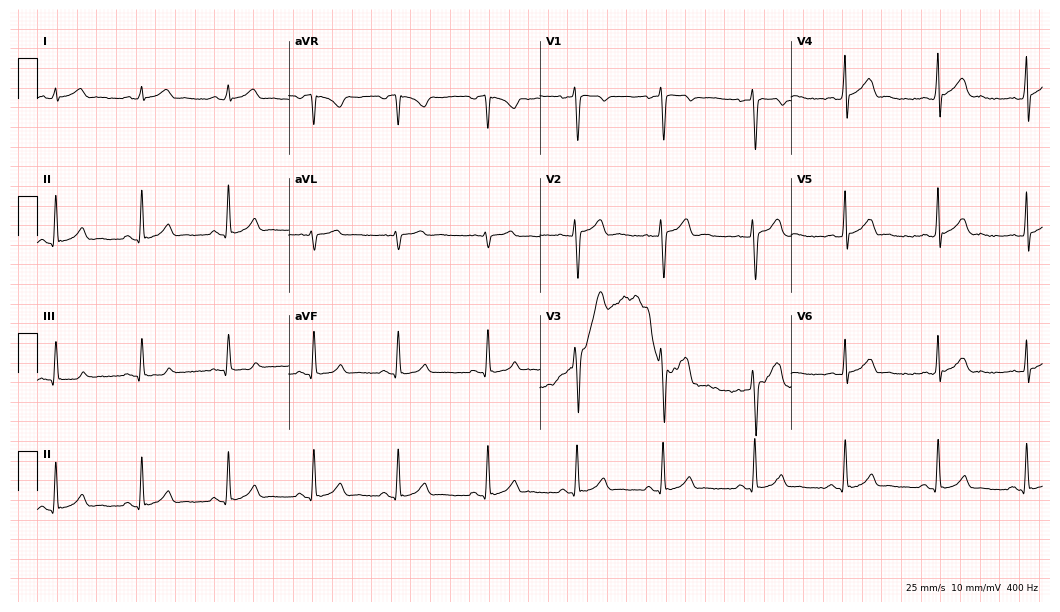
Standard 12-lead ECG recorded from a male, 22 years old. None of these six findings is recorded: first-degree AV block, right bundle branch block, left bundle branch block, sinus bradycardia, atrial fibrillation, sinus tachycardia. Other findings, if any, are not listed.